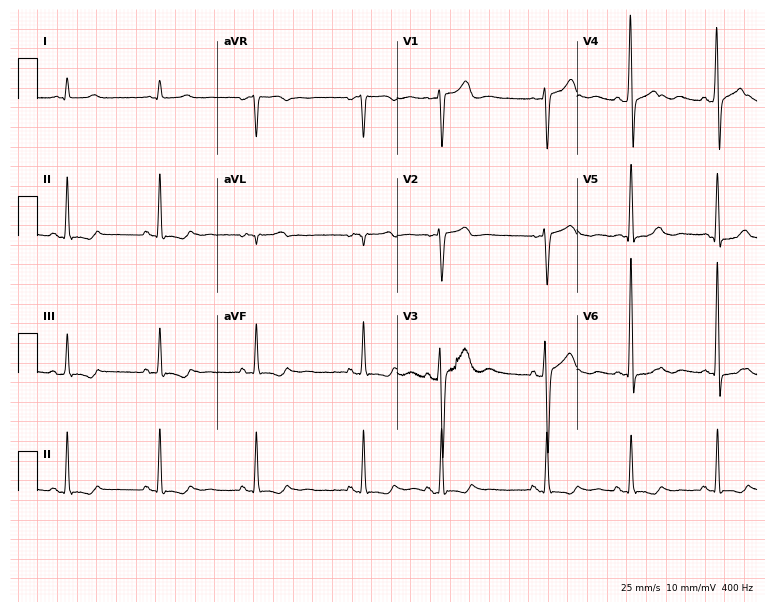
12-lead ECG from a 55-year-old male patient. Screened for six findings — first-degree AV block, right bundle branch block, left bundle branch block, sinus bradycardia, atrial fibrillation, sinus tachycardia — none is recorded.